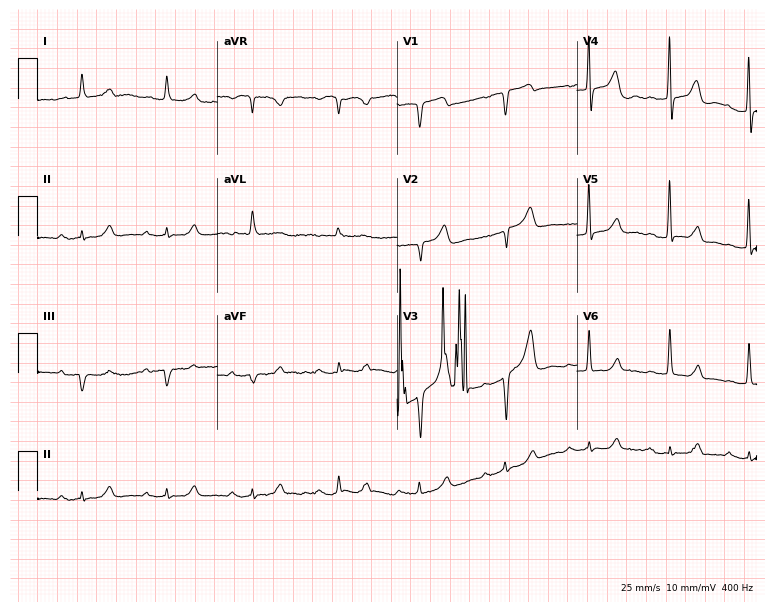
12-lead ECG from a male, 83 years old (7.3-second recording at 400 Hz). No first-degree AV block, right bundle branch block, left bundle branch block, sinus bradycardia, atrial fibrillation or sinus tachycardia recorded for this tracing.